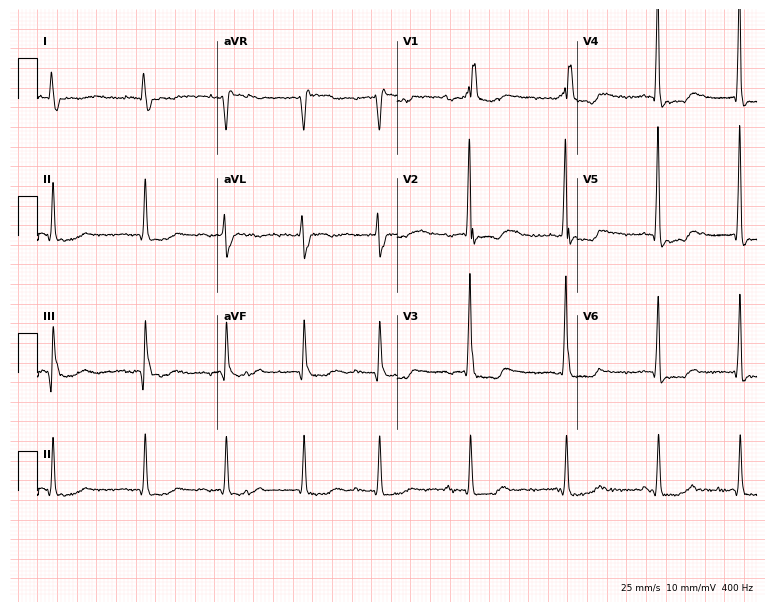
Resting 12-lead electrocardiogram. Patient: a 76-year-old male. None of these six findings is recorded: first-degree AV block, right bundle branch block, left bundle branch block, sinus bradycardia, atrial fibrillation, sinus tachycardia. Other findings, if any, are not listed.